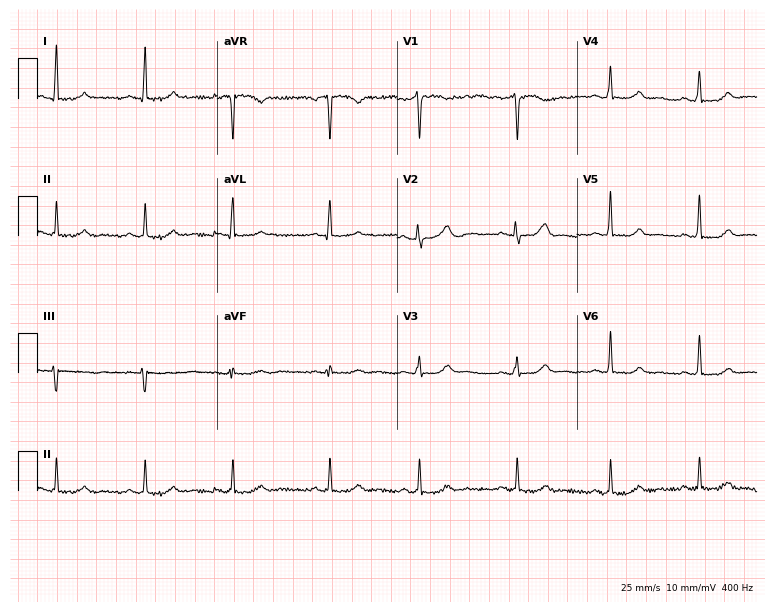
12-lead ECG from a 55-year-old female patient. No first-degree AV block, right bundle branch block (RBBB), left bundle branch block (LBBB), sinus bradycardia, atrial fibrillation (AF) or sinus tachycardia recorded for this tracing.